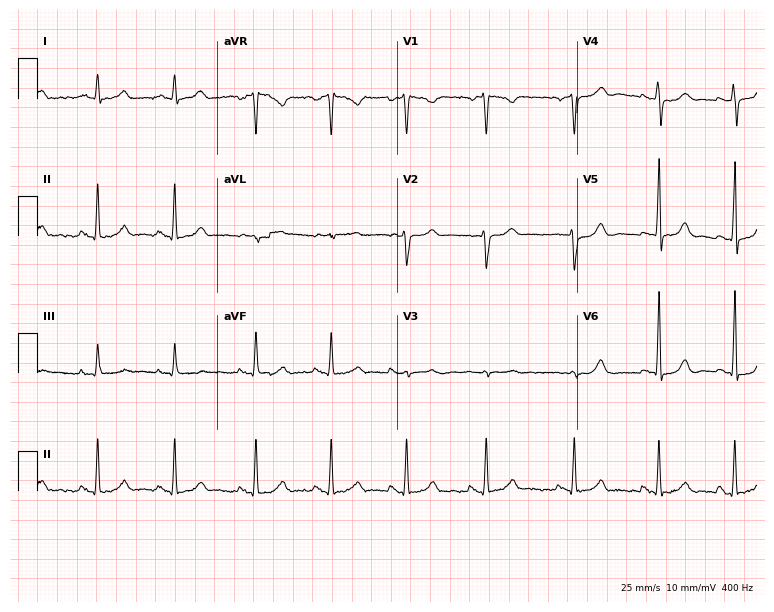
12-lead ECG from a 40-year-old woman. Recorded interpretation: within normal limits.